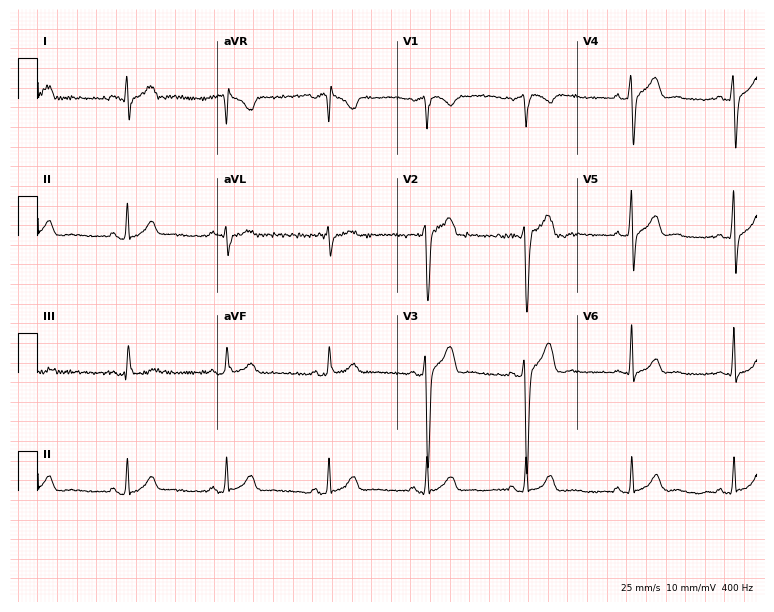
12-lead ECG (7.3-second recording at 400 Hz) from a 32-year-old male patient. Labelled as a normal ECG.